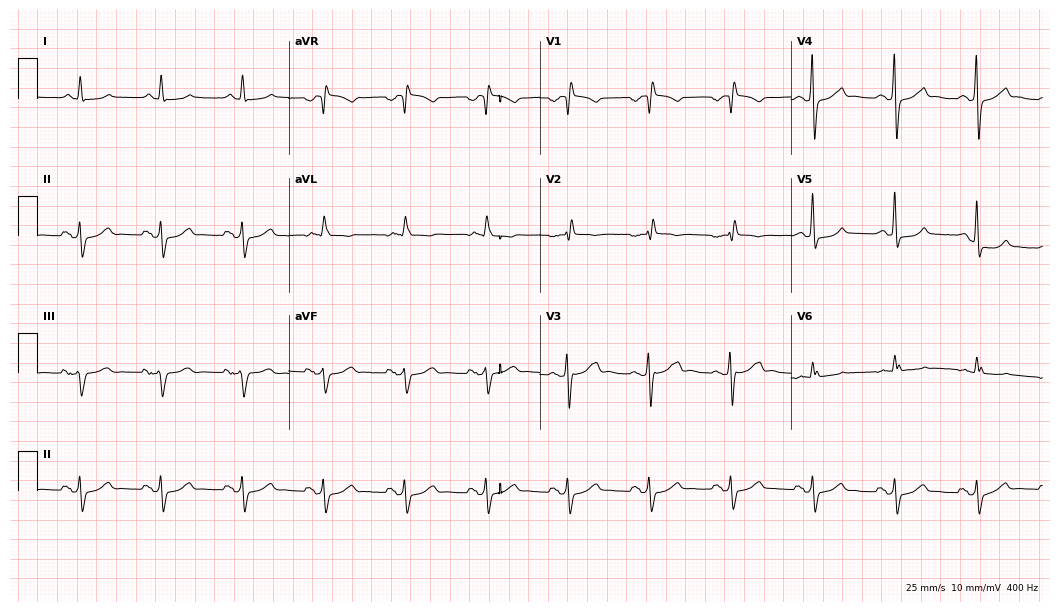
12-lead ECG from a male patient, 78 years old (10.2-second recording at 400 Hz). No first-degree AV block, right bundle branch block (RBBB), left bundle branch block (LBBB), sinus bradycardia, atrial fibrillation (AF) or sinus tachycardia recorded for this tracing.